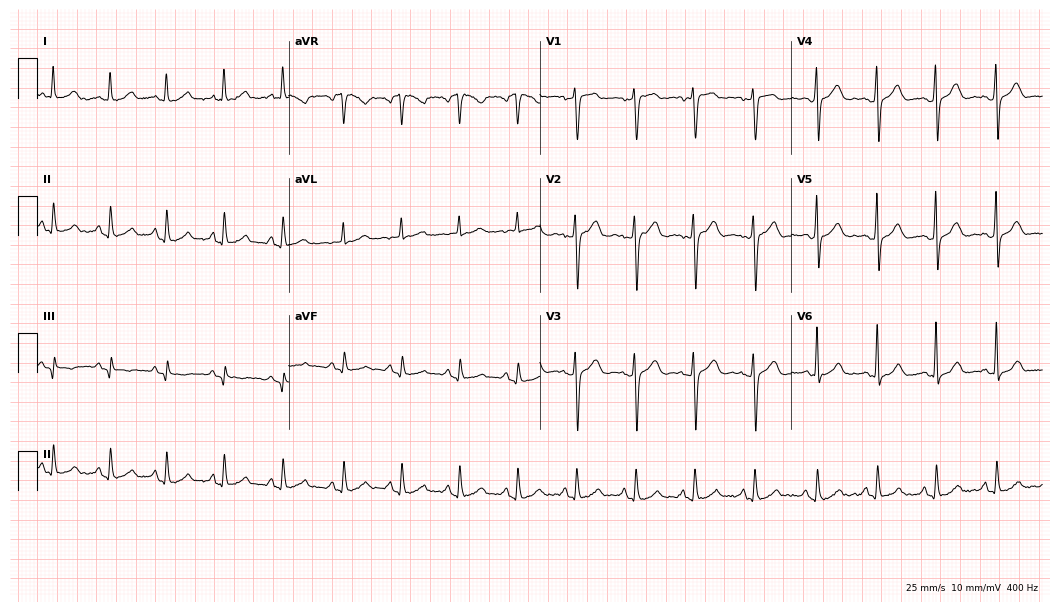
12-lead ECG from a woman, 42 years old. No first-degree AV block, right bundle branch block, left bundle branch block, sinus bradycardia, atrial fibrillation or sinus tachycardia recorded for this tracing. Other findings, if any, are not listed.